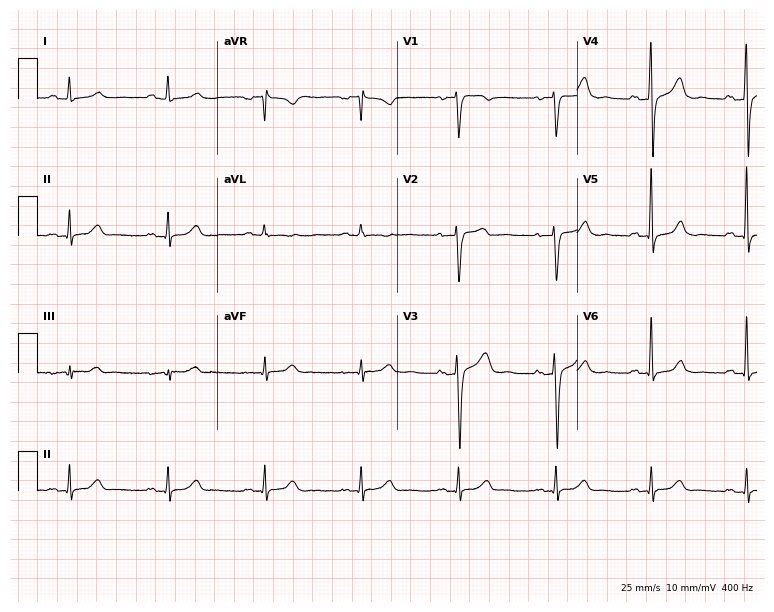
Resting 12-lead electrocardiogram. Patient: a 53-year-old male. Read as a normal ECG.